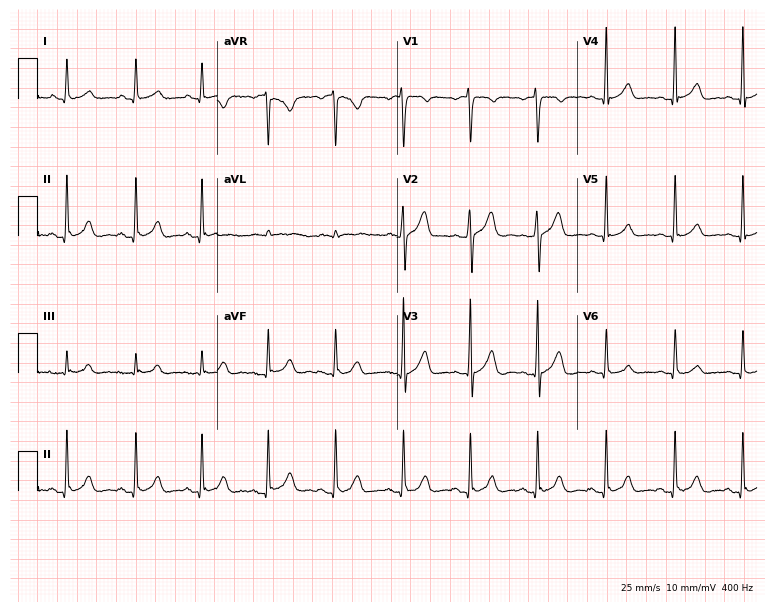
Electrocardiogram, a man, 50 years old. Overall reading on record: normal ECG.